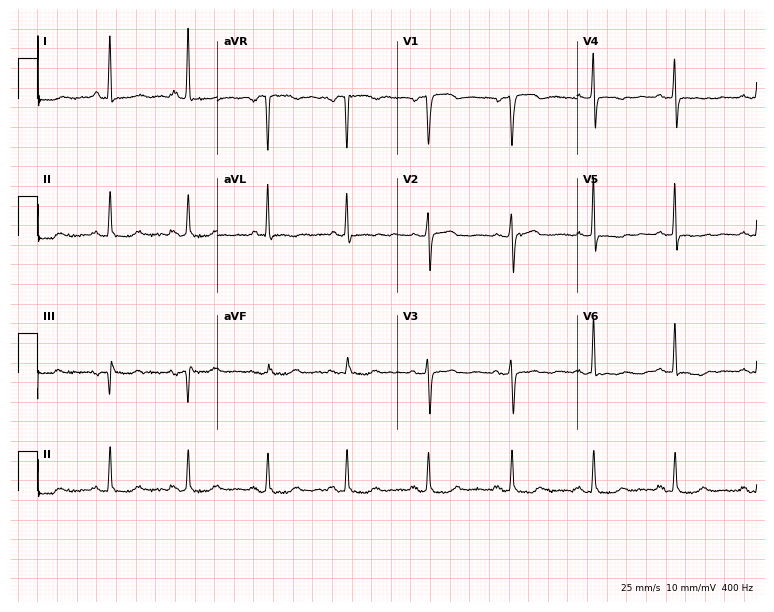
Electrocardiogram (7.3-second recording at 400 Hz), a 50-year-old female. Of the six screened findings (first-degree AV block, right bundle branch block, left bundle branch block, sinus bradycardia, atrial fibrillation, sinus tachycardia), none is recorded.